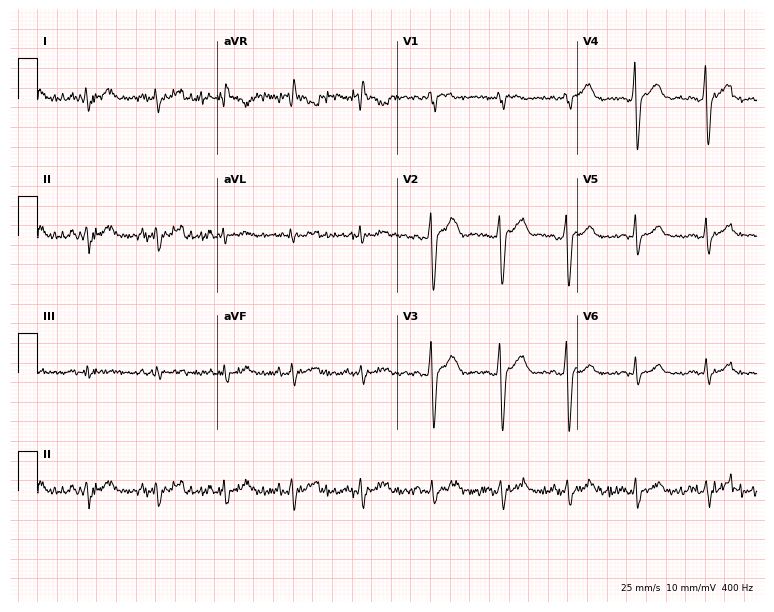
12-lead ECG (7.3-second recording at 400 Hz) from a 34-year-old female. Screened for six findings — first-degree AV block, right bundle branch block, left bundle branch block, sinus bradycardia, atrial fibrillation, sinus tachycardia — none is recorded.